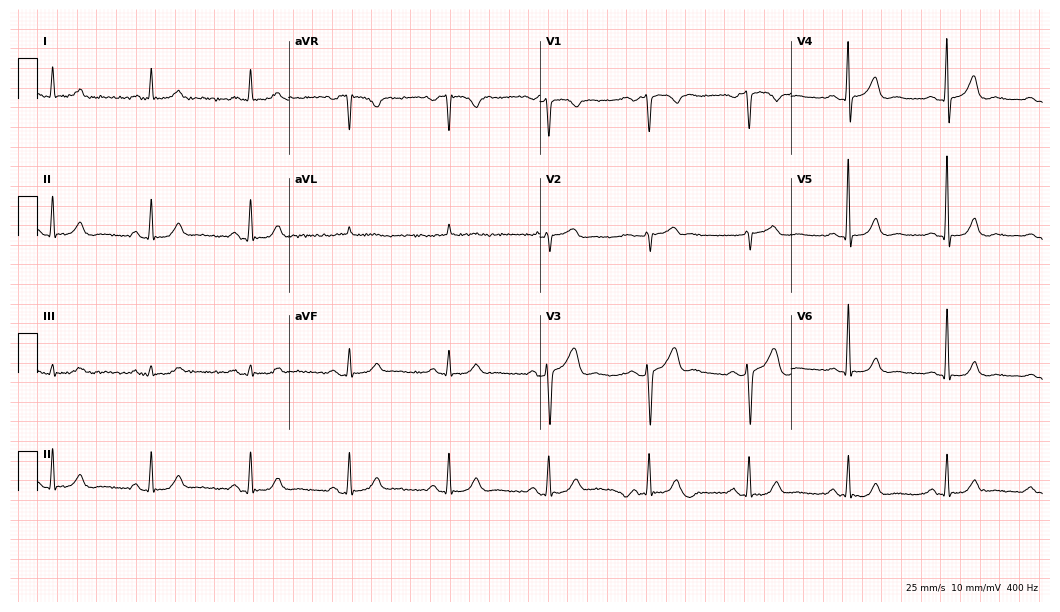
12-lead ECG (10.2-second recording at 400 Hz) from a 71-year-old male patient. Screened for six findings — first-degree AV block, right bundle branch block, left bundle branch block, sinus bradycardia, atrial fibrillation, sinus tachycardia — none is recorded. Findings outside these six are not listed.